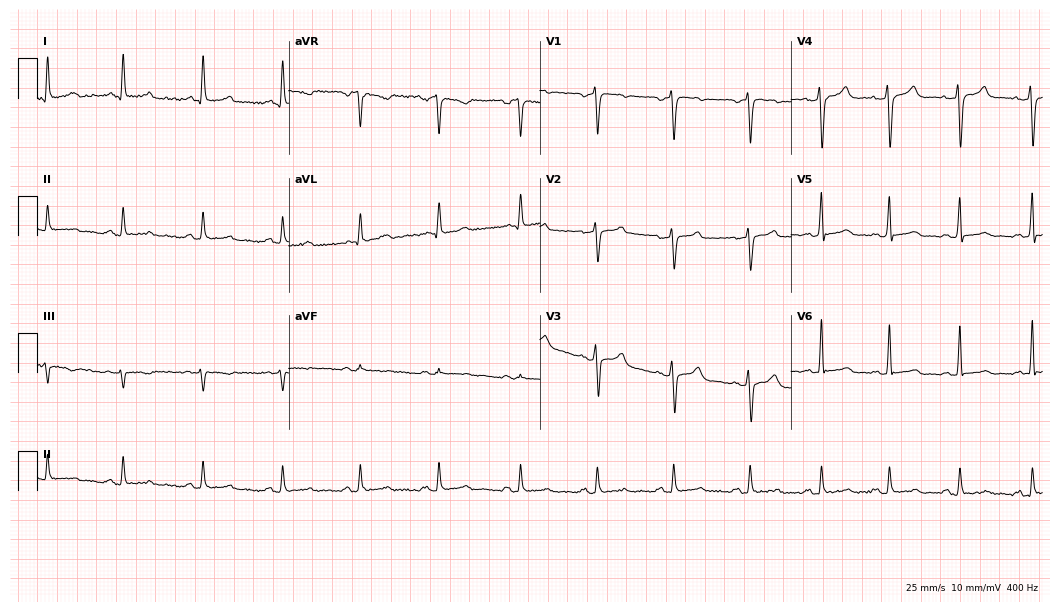
Resting 12-lead electrocardiogram (10.2-second recording at 400 Hz). Patient: a male, 29 years old. Read as a normal ECG.